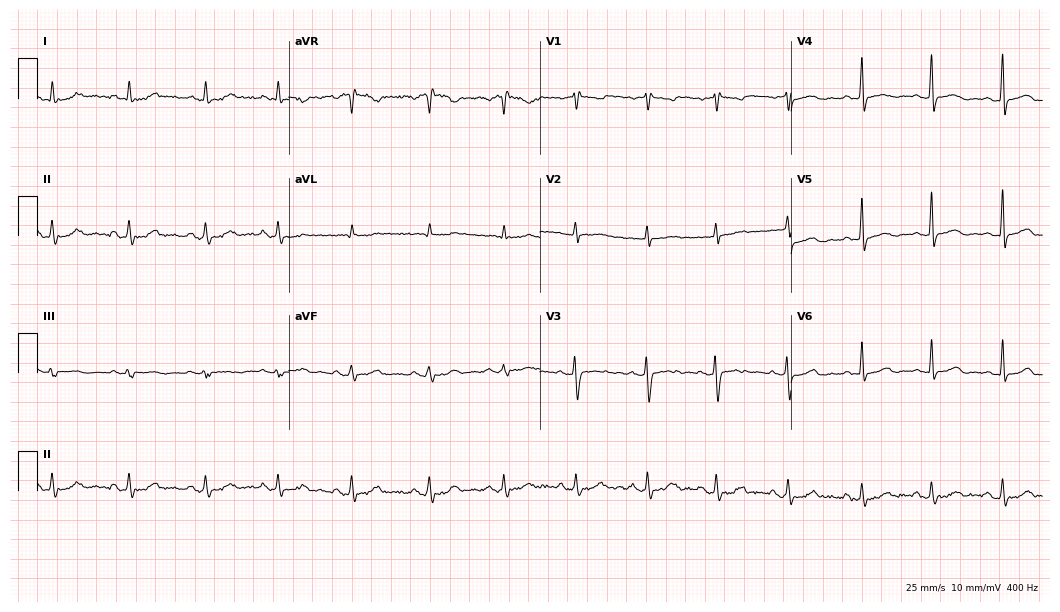
Electrocardiogram, a female, 36 years old. Overall reading on record: normal ECG.